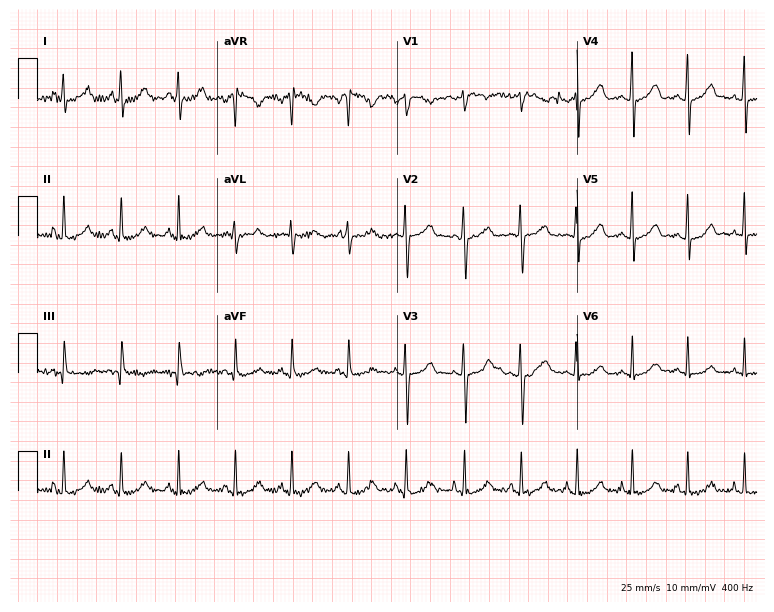
12-lead ECG from a female, 23 years old (7.3-second recording at 400 Hz). Shows sinus tachycardia (a sinus rate of 100 beats per minute or more).